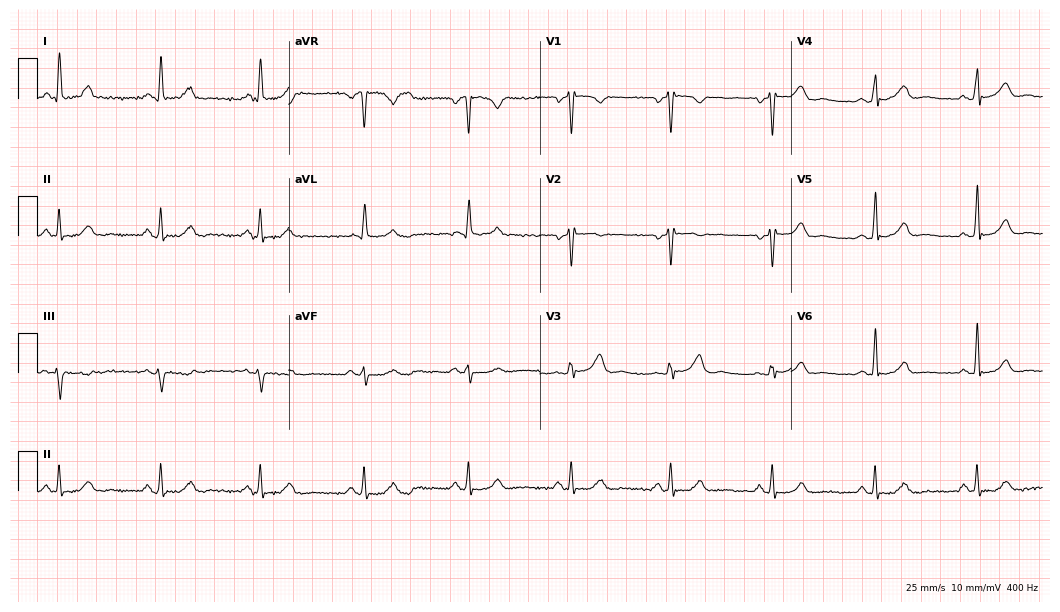
12-lead ECG from a female patient, 54 years old. No first-degree AV block, right bundle branch block, left bundle branch block, sinus bradycardia, atrial fibrillation or sinus tachycardia recorded for this tracing.